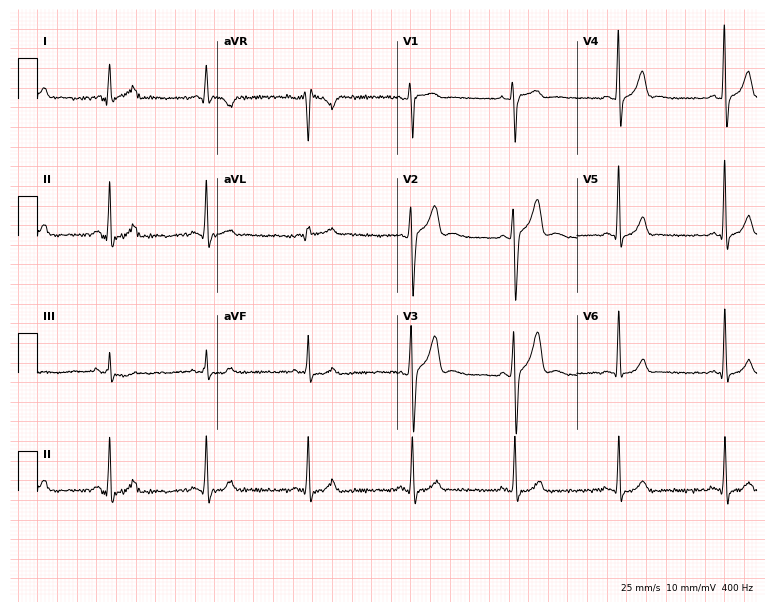
ECG — a 22-year-old man. Screened for six findings — first-degree AV block, right bundle branch block, left bundle branch block, sinus bradycardia, atrial fibrillation, sinus tachycardia — none is recorded.